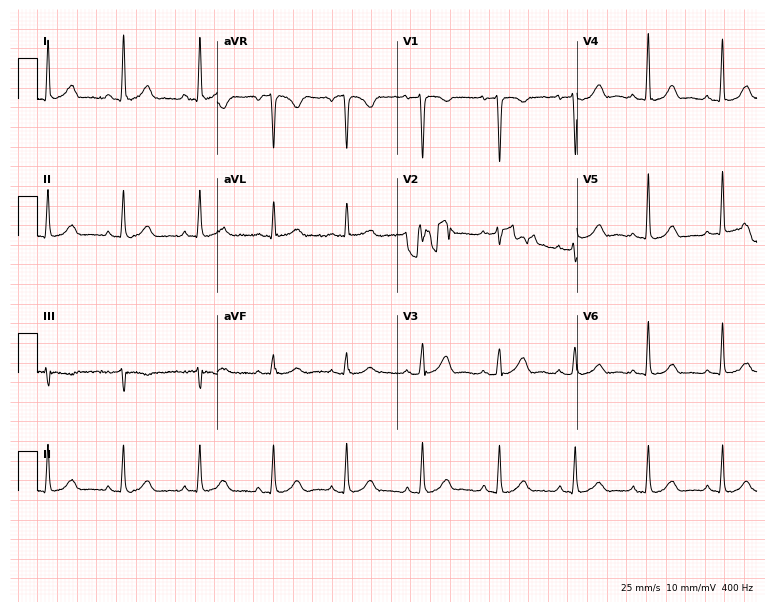
Standard 12-lead ECG recorded from a woman, 48 years old (7.3-second recording at 400 Hz). Read as a normal ECG.